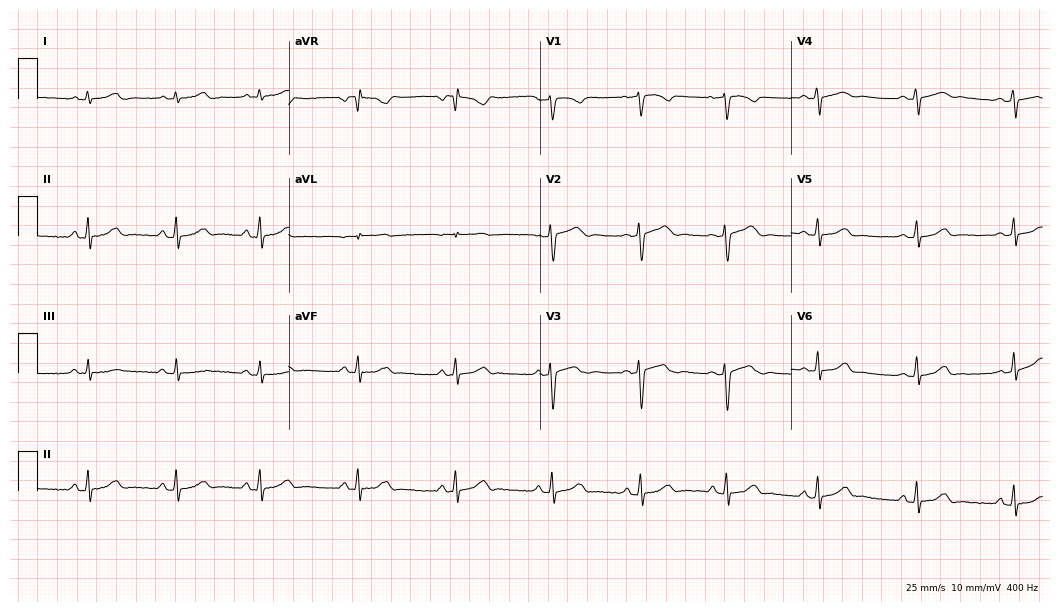
12-lead ECG (10.2-second recording at 400 Hz) from a woman, 22 years old. Labelled as a normal ECG.